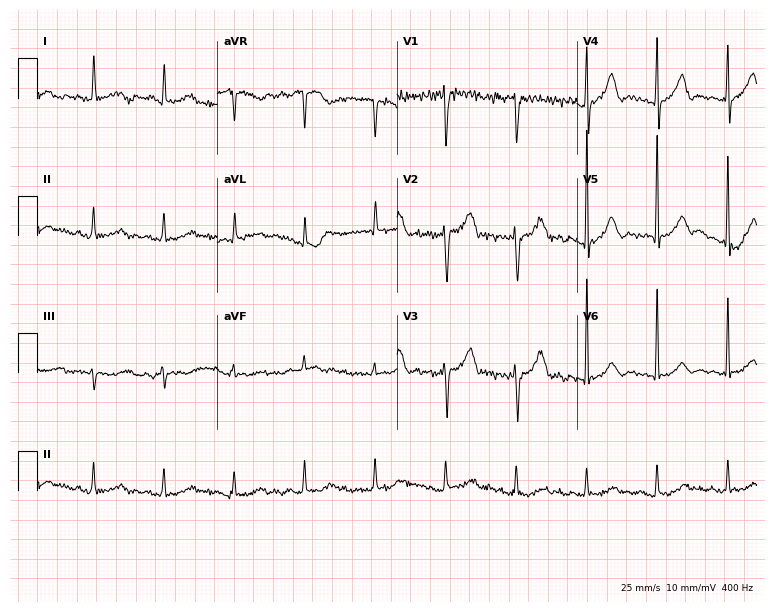
12-lead ECG from an 80-year-old man (7.3-second recording at 400 Hz). No first-degree AV block, right bundle branch block, left bundle branch block, sinus bradycardia, atrial fibrillation or sinus tachycardia recorded for this tracing. Findings outside these six are not listed.